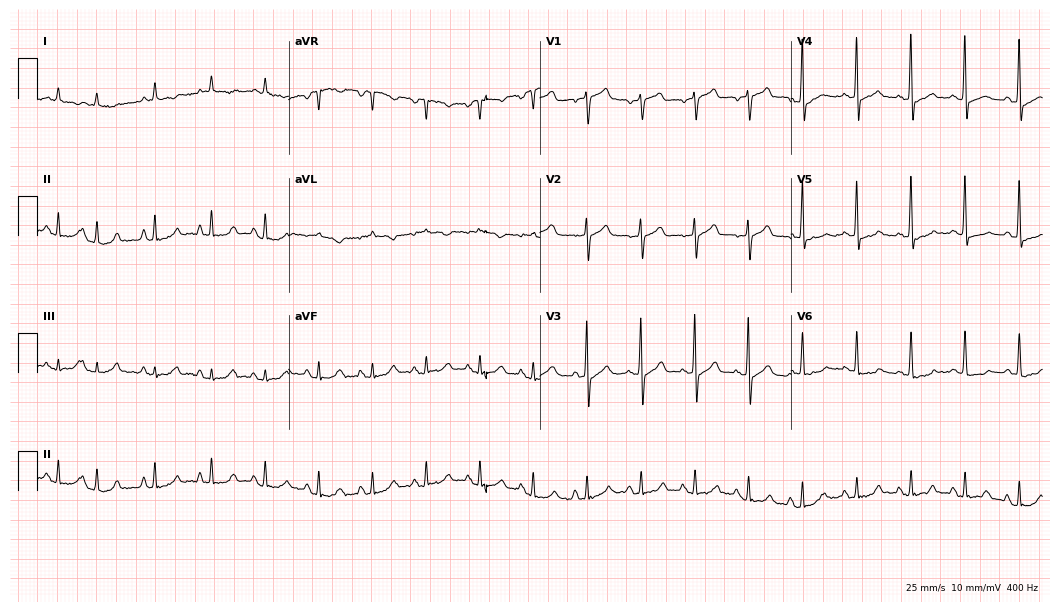
Electrocardiogram (10.2-second recording at 400 Hz), a male, 82 years old. Interpretation includes sinus tachycardia (a sinus rate of 100 beats per minute or more).